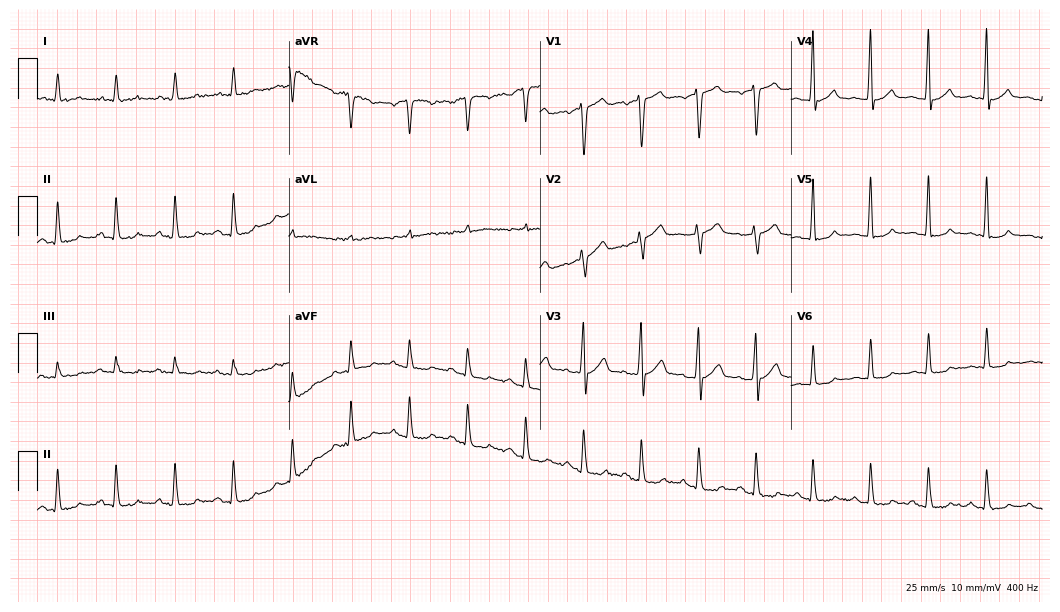
ECG — a 77-year-old man. Screened for six findings — first-degree AV block, right bundle branch block, left bundle branch block, sinus bradycardia, atrial fibrillation, sinus tachycardia — none is recorded.